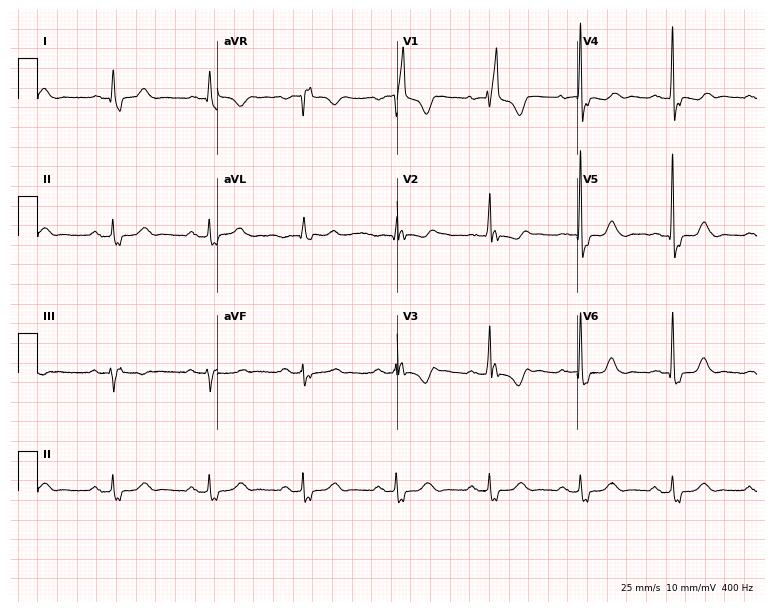
Electrocardiogram (7.3-second recording at 400 Hz), a woman, 75 years old. Of the six screened findings (first-degree AV block, right bundle branch block, left bundle branch block, sinus bradycardia, atrial fibrillation, sinus tachycardia), none is recorded. Findings outside these six are not listed.